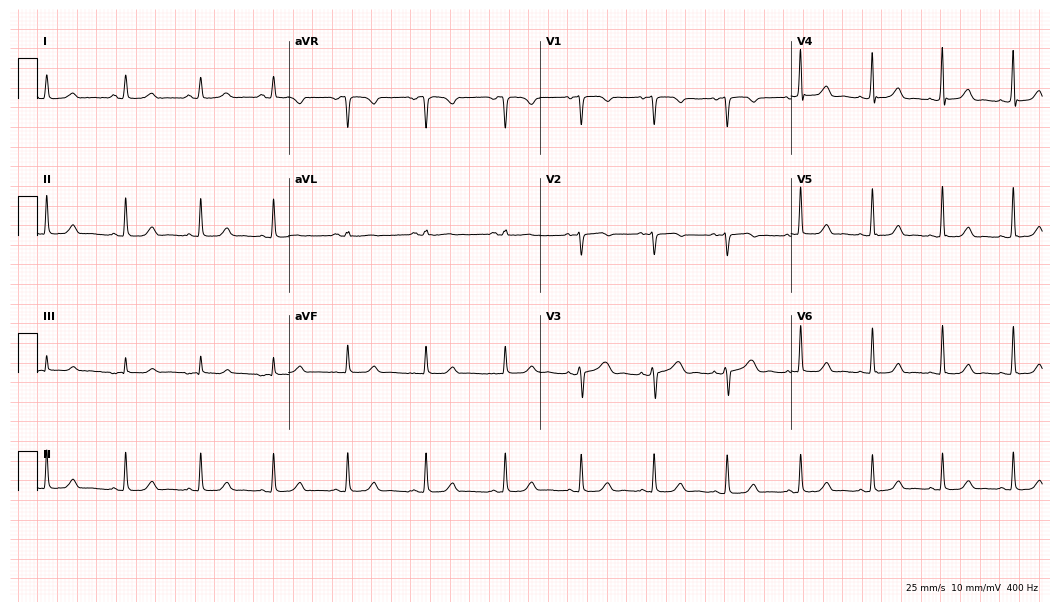
Electrocardiogram, a woman, 31 years old. Overall reading on record: normal ECG.